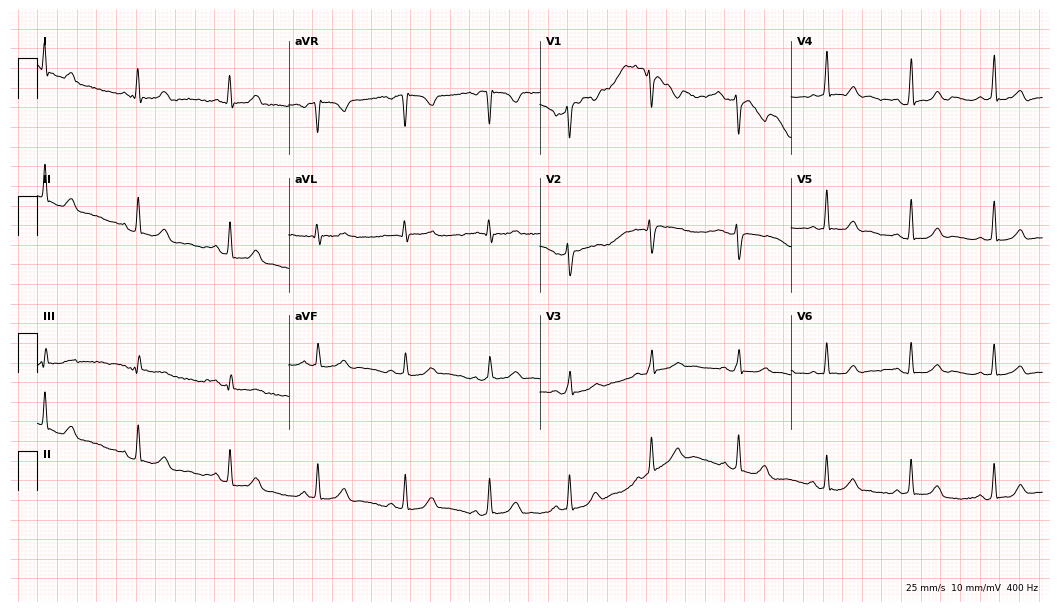
Standard 12-lead ECG recorded from a 34-year-old woman (10.2-second recording at 400 Hz). Read as a normal ECG.